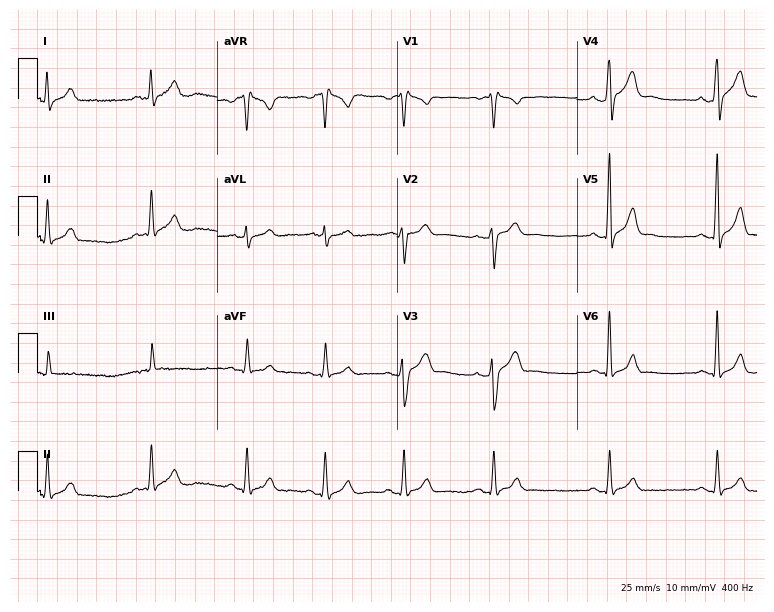
Standard 12-lead ECG recorded from a male, 29 years old (7.3-second recording at 400 Hz). Read as a normal ECG.